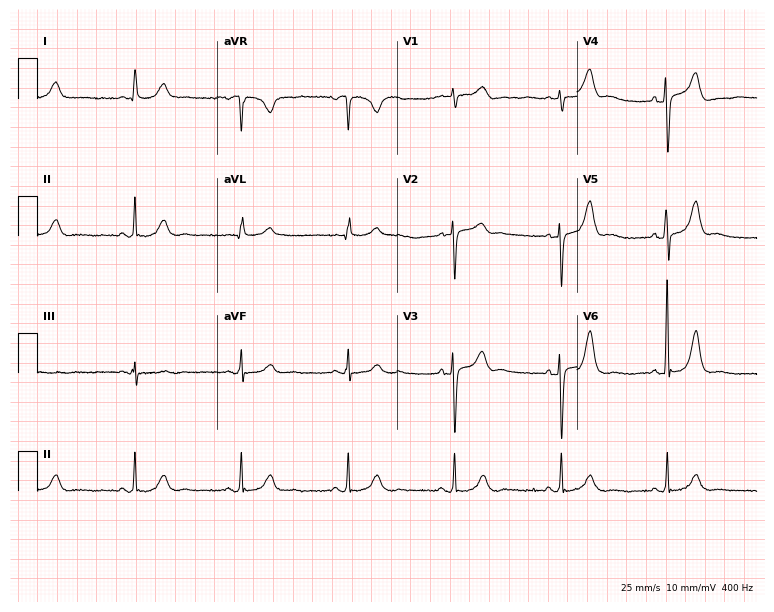
12-lead ECG from a 69-year-old female. Screened for six findings — first-degree AV block, right bundle branch block, left bundle branch block, sinus bradycardia, atrial fibrillation, sinus tachycardia — none is recorded.